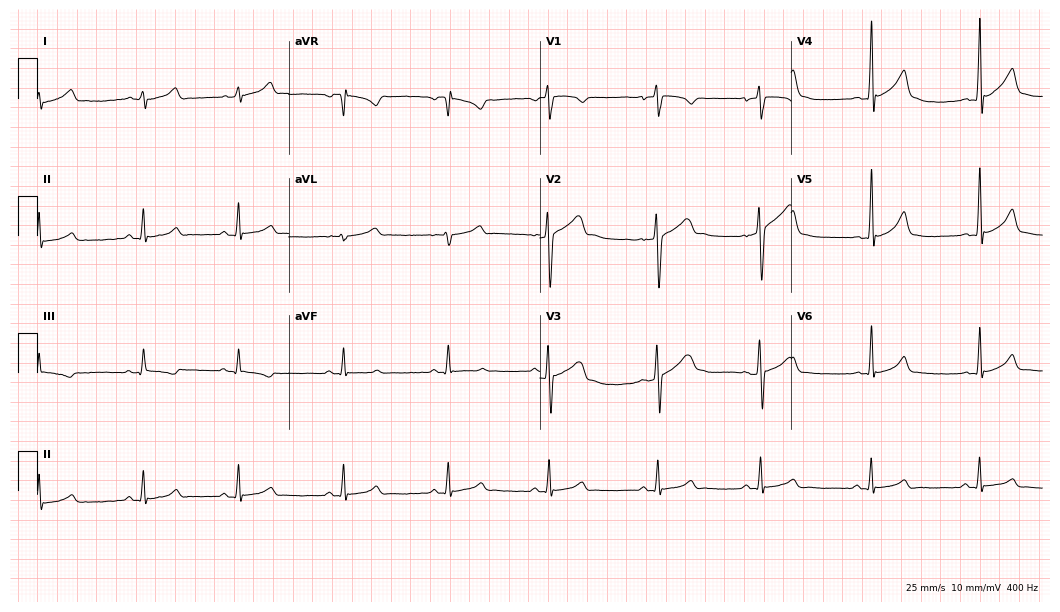
Resting 12-lead electrocardiogram. Patient: a man, 21 years old. Read as a normal ECG.